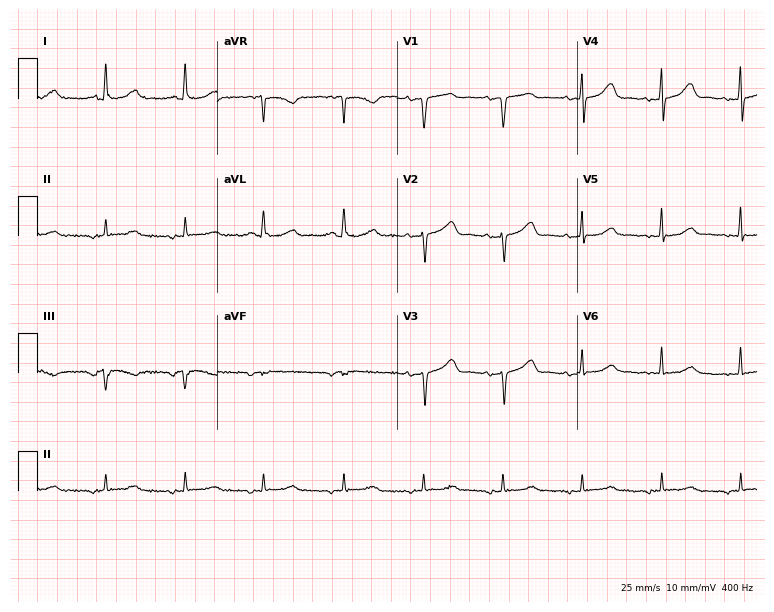
12-lead ECG from a female patient, 70 years old. No first-degree AV block, right bundle branch block, left bundle branch block, sinus bradycardia, atrial fibrillation or sinus tachycardia recorded for this tracing. Findings outside these six are not listed.